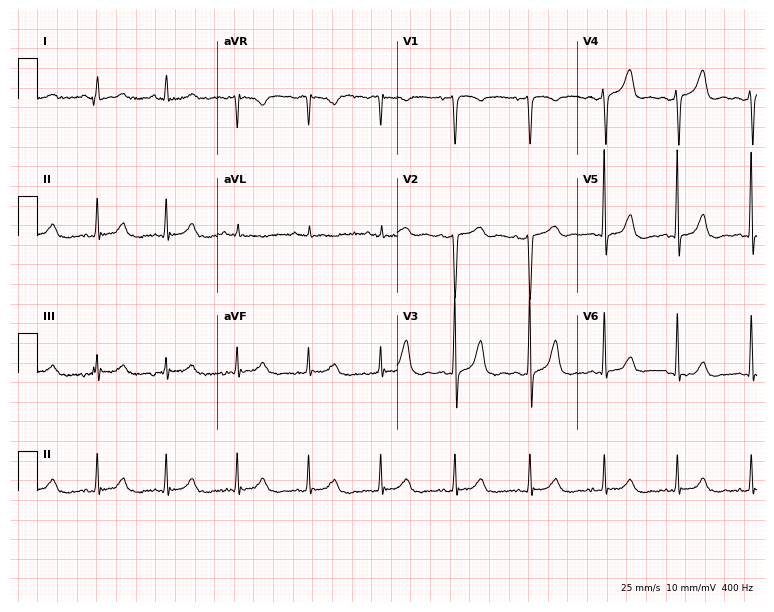
Resting 12-lead electrocardiogram. Patient: a woman, 54 years old. Read as a normal ECG.